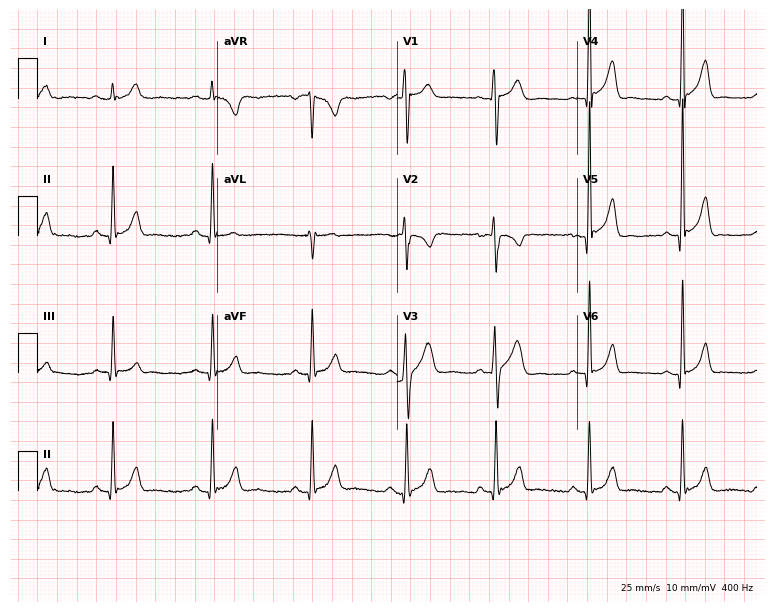
12-lead ECG from a woman, 34 years old (7.3-second recording at 400 Hz). No first-degree AV block, right bundle branch block, left bundle branch block, sinus bradycardia, atrial fibrillation or sinus tachycardia recorded for this tracing.